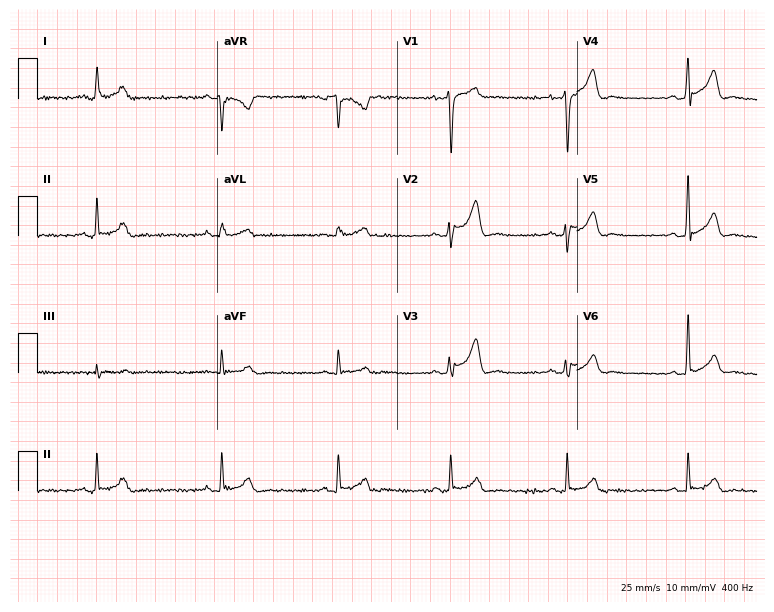
Standard 12-lead ECG recorded from a male patient, 37 years old (7.3-second recording at 400 Hz). Read as a normal ECG.